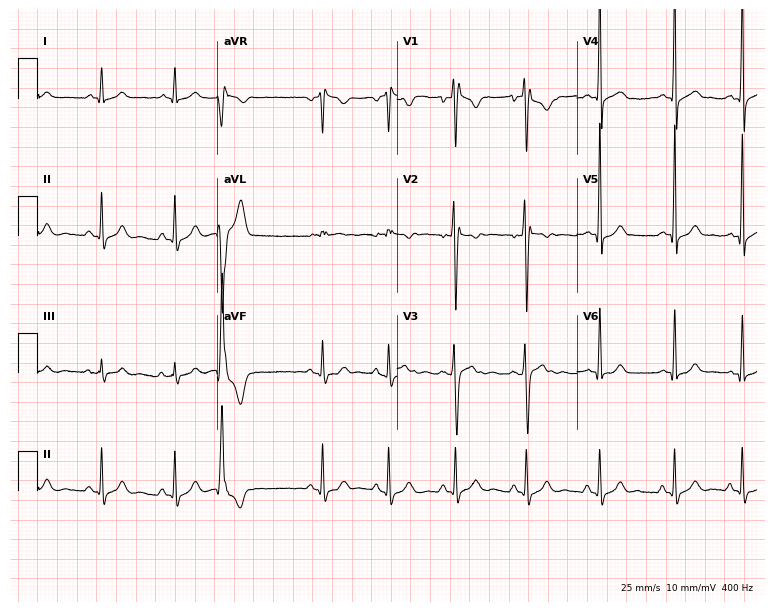
12-lead ECG from a male, 19 years old. No first-degree AV block, right bundle branch block, left bundle branch block, sinus bradycardia, atrial fibrillation or sinus tachycardia recorded for this tracing.